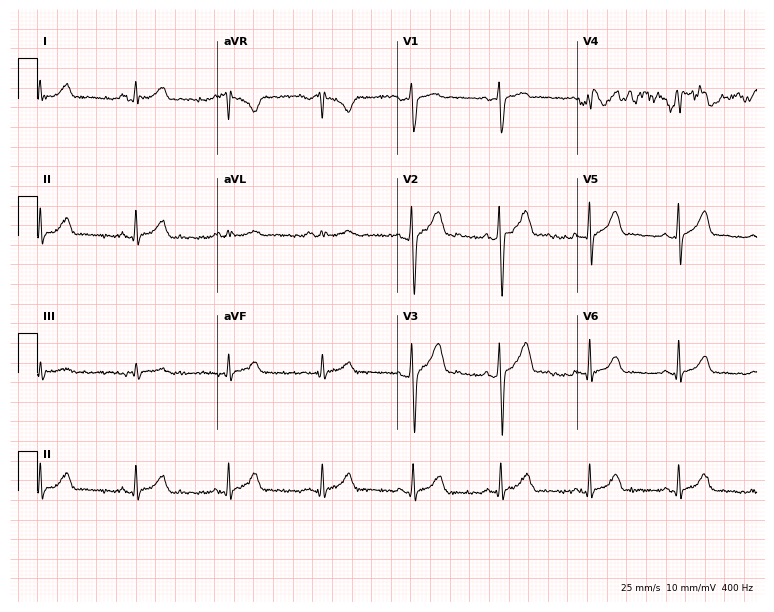
Standard 12-lead ECG recorded from a male patient, 34 years old. Read as a normal ECG.